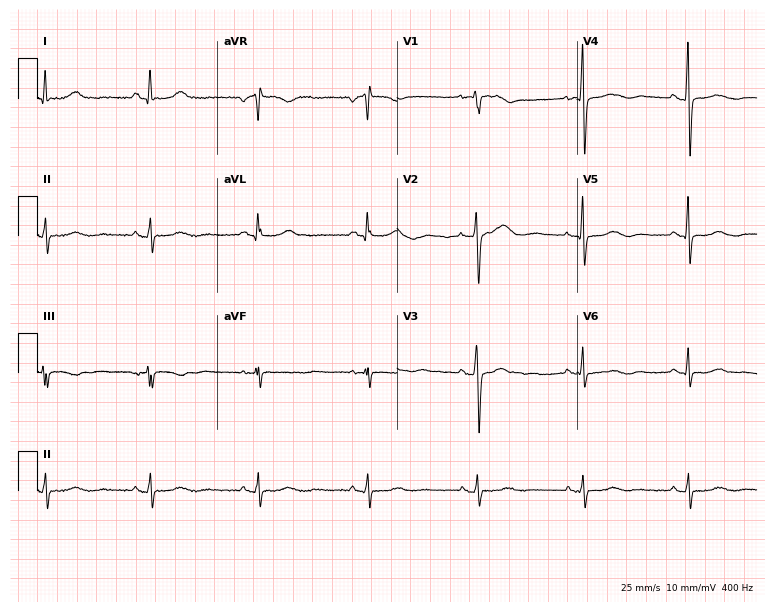
Standard 12-lead ECG recorded from a 62-year-old female. None of these six findings is recorded: first-degree AV block, right bundle branch block, left bundle branch block, sinus bradycardia, atrial fibrillation, sinus tachycardia.